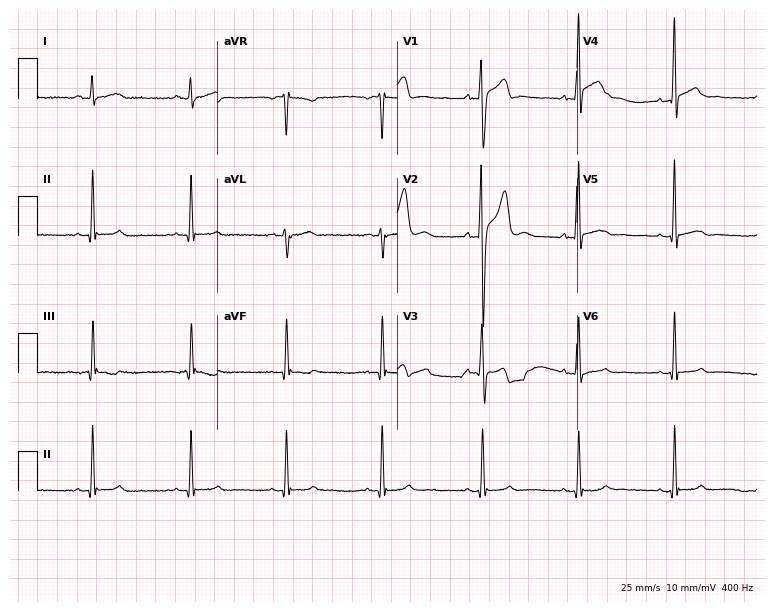
12-lead ECG from a male, 20 years old. Recorded interpretation: within normal limits.